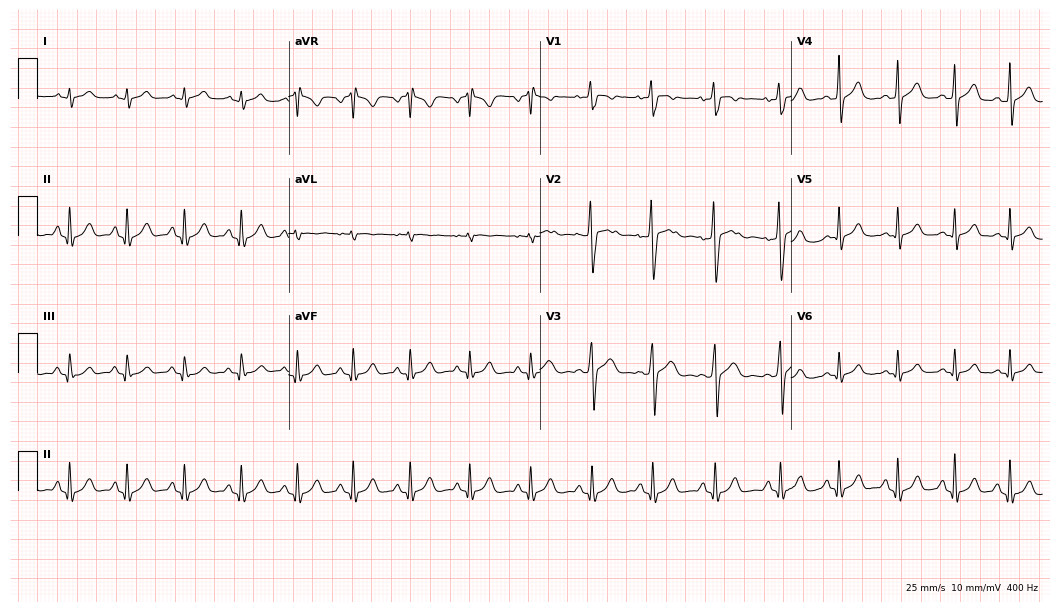
Standard 12-lead ECG recorded from a man, 21 years old (10.2-second recording at 400 Hz). None of these six findings is recorded: first-degree AV block, right bundle branch block, left bundle branch block, sinus bradycardia, atrial fibrillation, sinus tachycardia. Only these six findings were labelled.